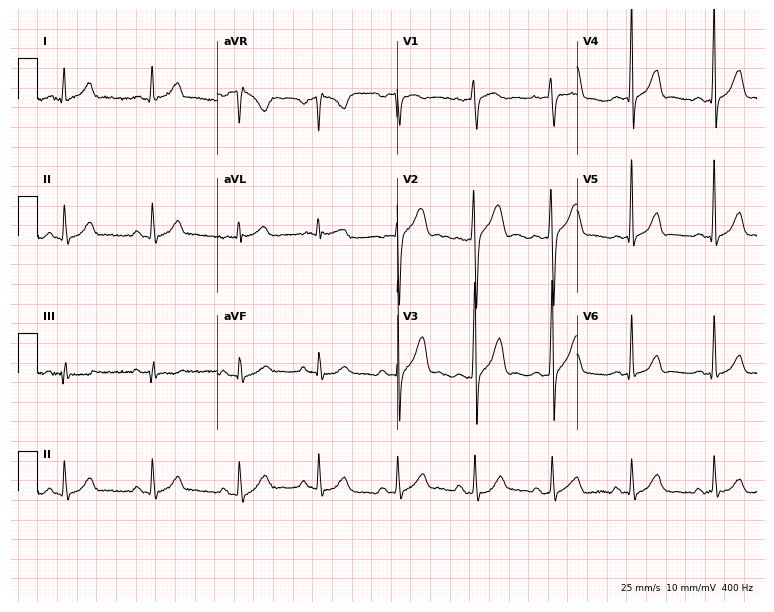
Resting 12-lead electrocardiogram (7.3-second recording at 400 Hz). Patient: a 33-year-old male. Read as a normal ECG.